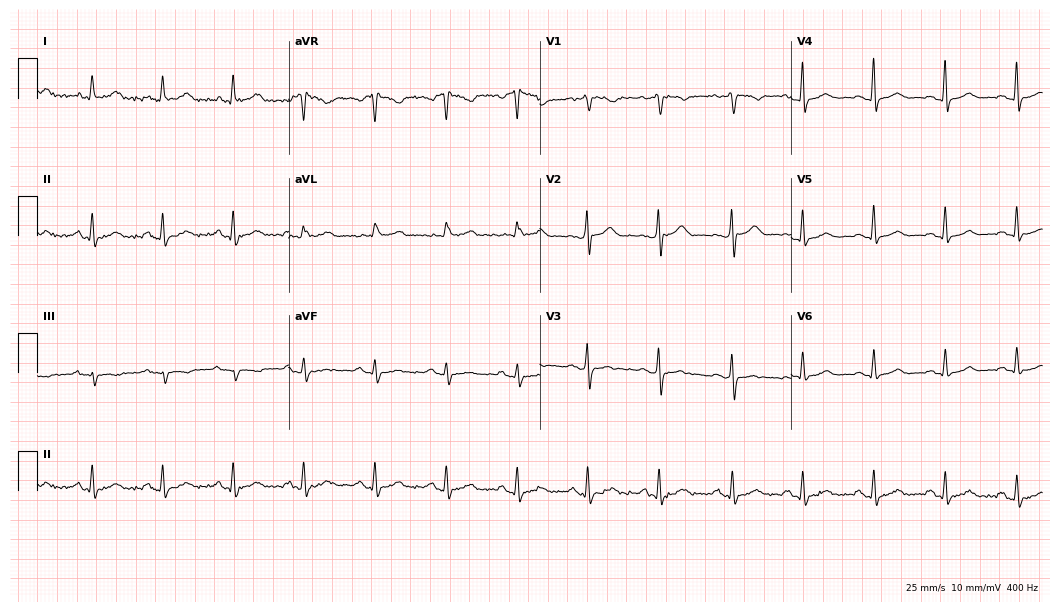
12-lead ECG from a female patient, 53 years old (10.2-second recording at 400 Hz). Recorded interpretation: within normal limits.